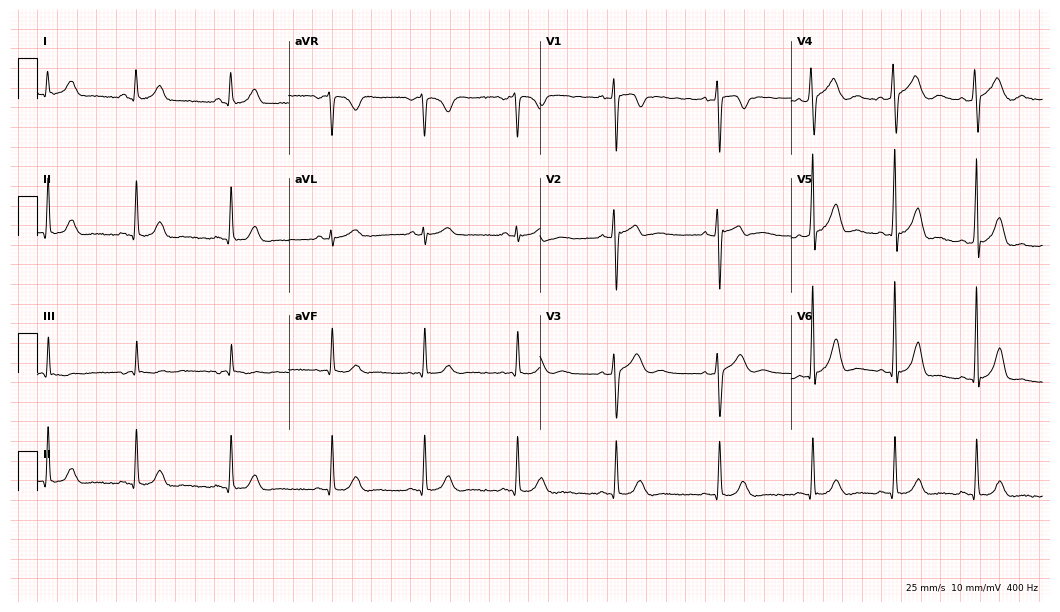
12-lead ECG from a 23-year-old male. Recorded interpretation: within normal limits.